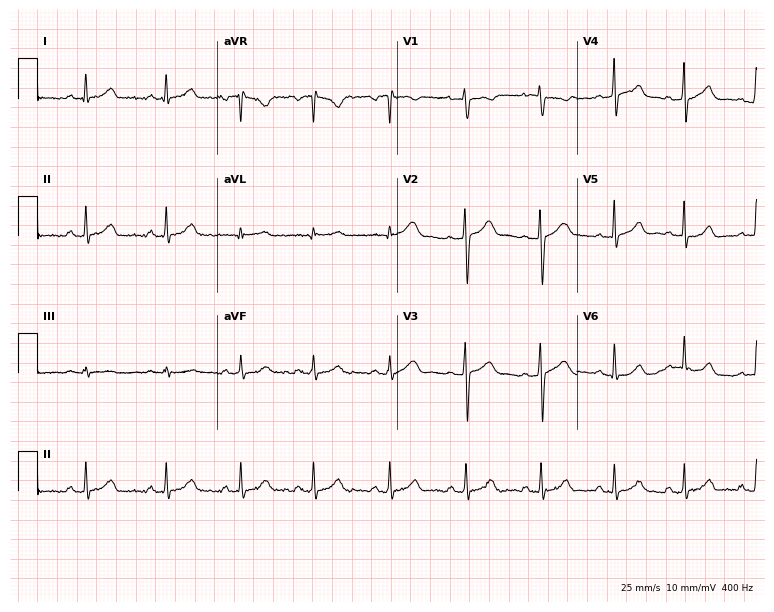
12-lead ECG from a 22-year-old female patient. Screened for six findings — first-degree AV block, right bundle branch block (RBBB), left bundle branch block (LBBB), sinus bradycardia, atrial fibrillation (AF), sinus tachycardia — none is recorded. Other findings, if any, are not listed.